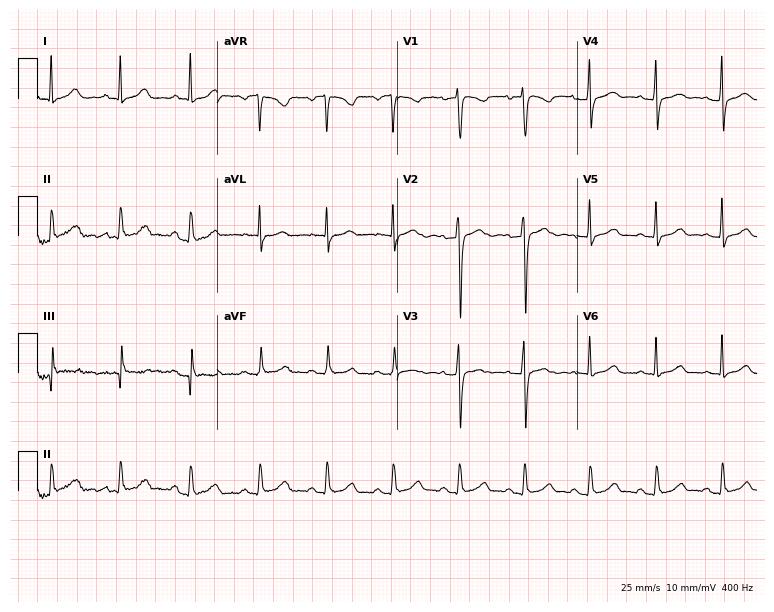
Resting 12-lead electrocardiogram. Patient: a female, 34 years old. Read as a normal ECG.